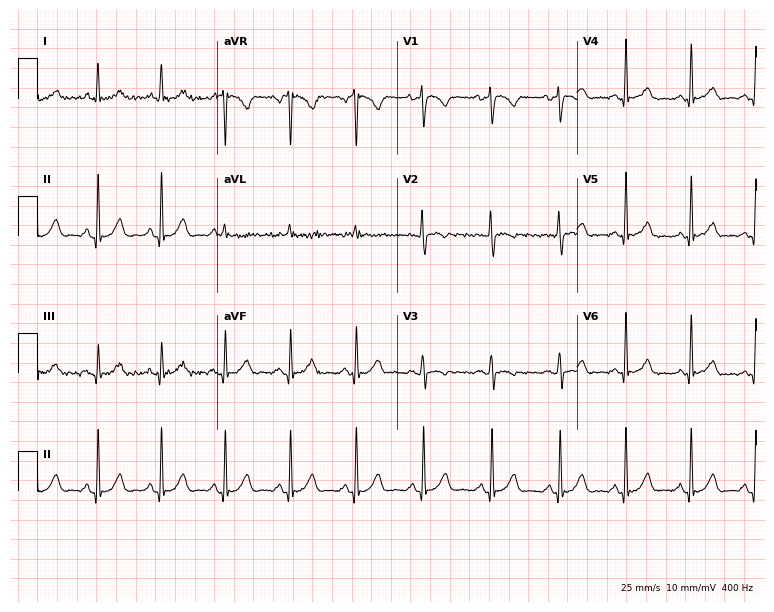
Resting 12-lead electrocardiogram (7.3-second recording at 400 Hz). Patient: a 24-year-old woman. Read as a normal ECG.